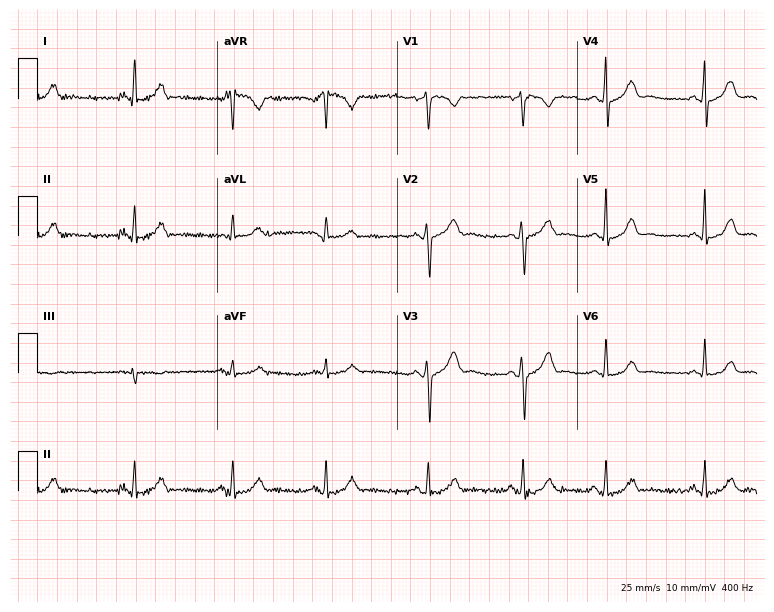
12-lead ECG from a woman, 29 years old (7.3-second recording at 400 Hz). Recorded interpretation: within normal limits.